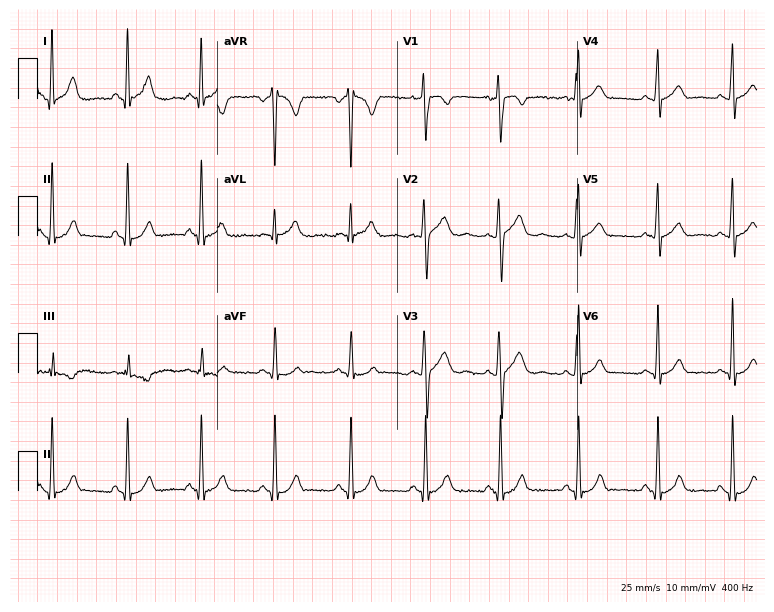
Standard 12-lead ECG recorded from a male, 20 years old (7.3-second recording at 400 Hz). Read as a normal ECG.